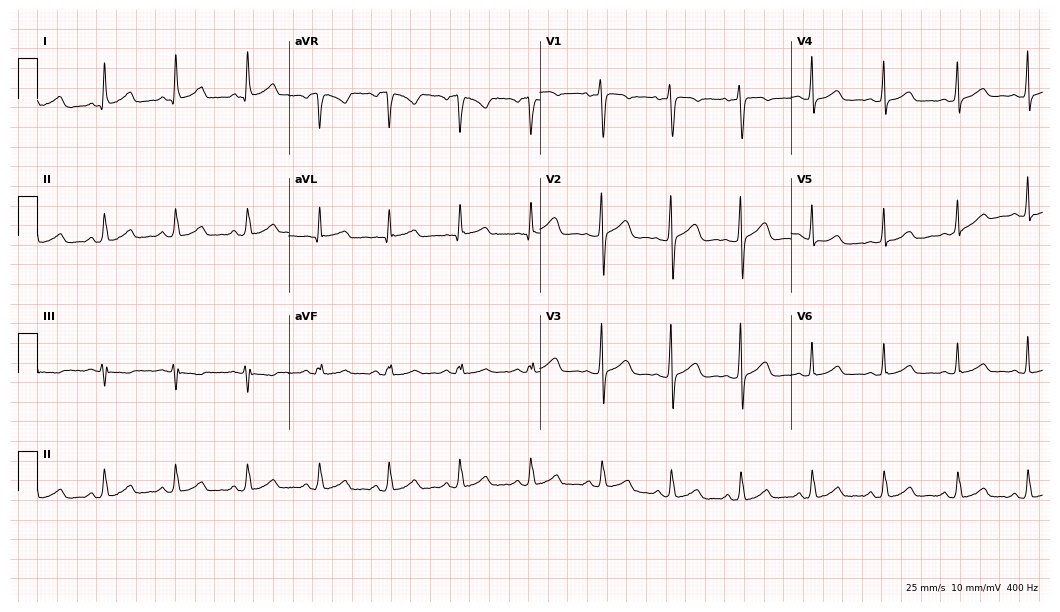
Resting 12-lead electrocardiogram (10.2-second recording at 400 Hz). Patient: a 33-year-old woman. Read as a normal ECG.